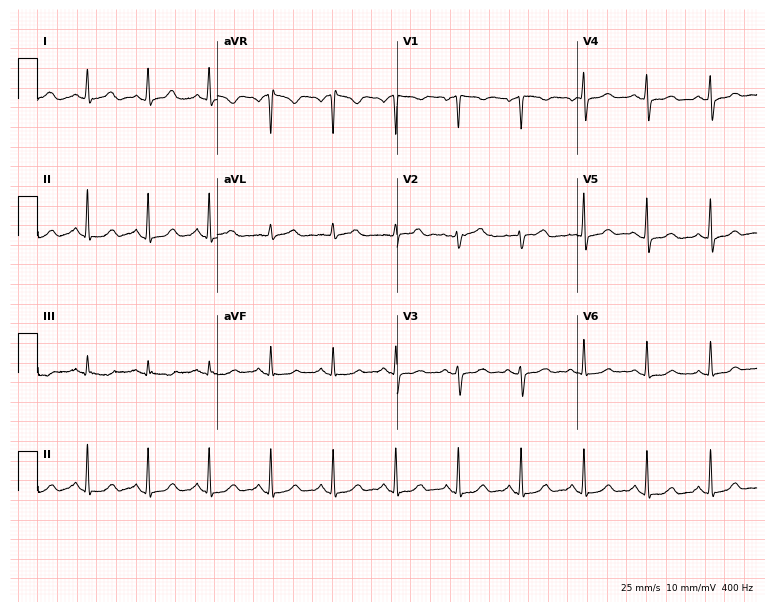
12-lead ECG from a 62-year-old woman (7.3-second recording at 400 Hz). Recorded interpretation: within normal limits.